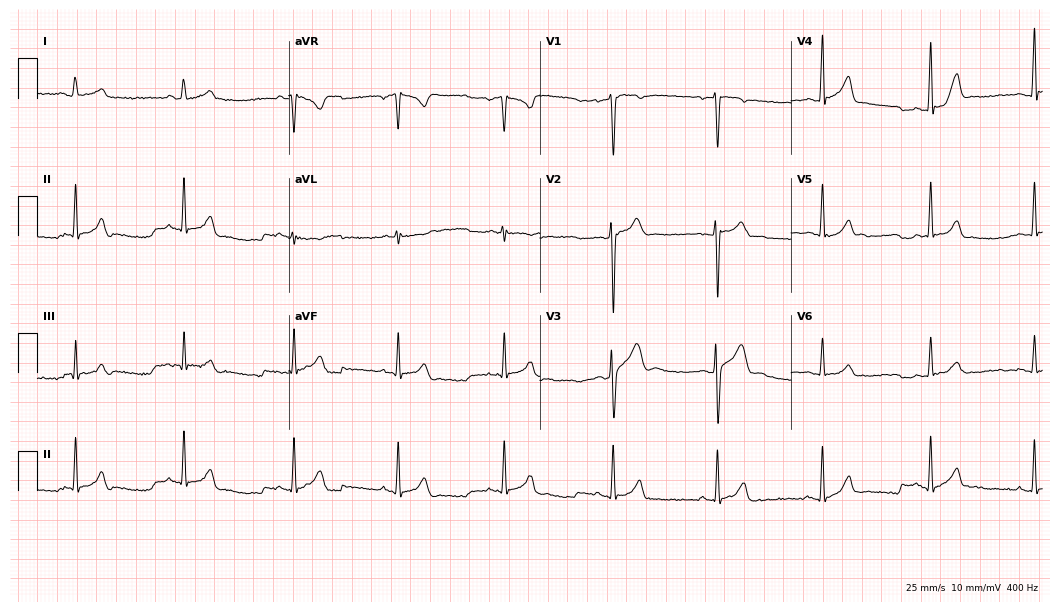
12-lead ECG from a male patient, 23 years old (10.2-second recording at 400 Hz). Recorded interpretation: within normal limits.